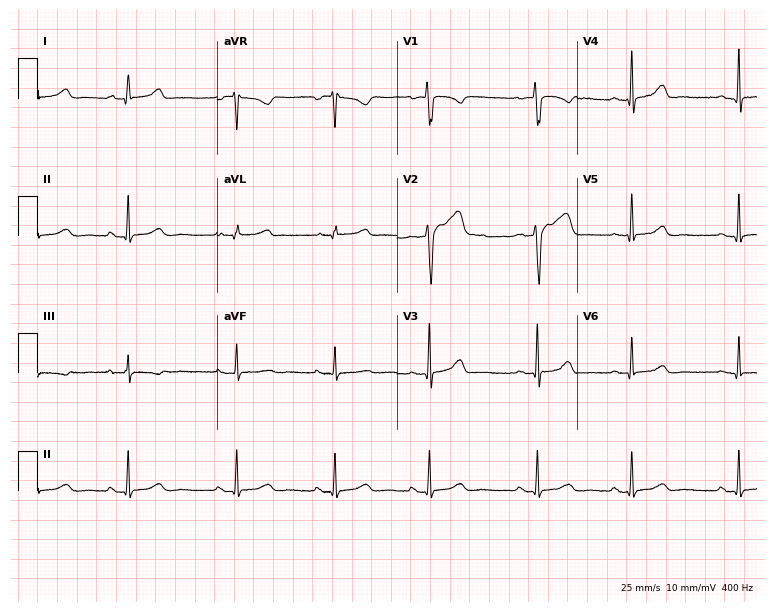
Standard 12-lead ECG recorded from a female, 24 years old (7.3-second recording at 400 Hz). Read as a normal ECG.